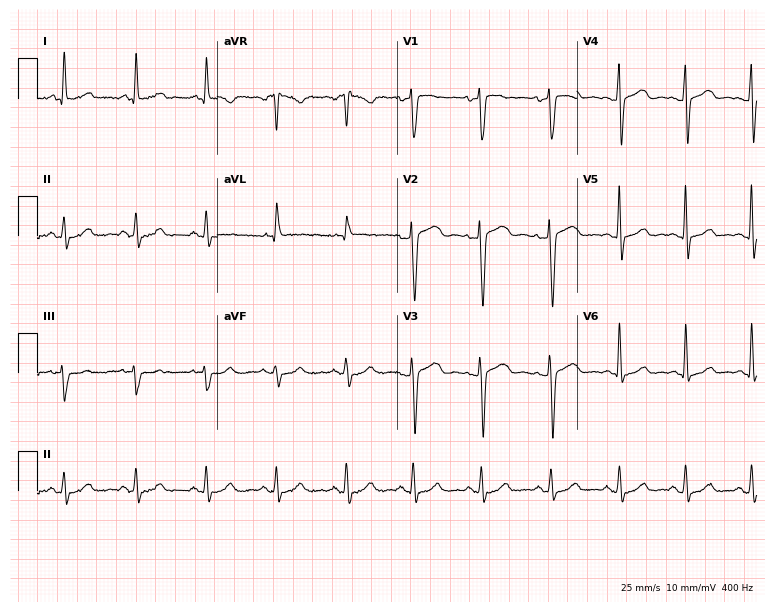
ECG — a 50-year-old female. Labelled as a normal ECG.